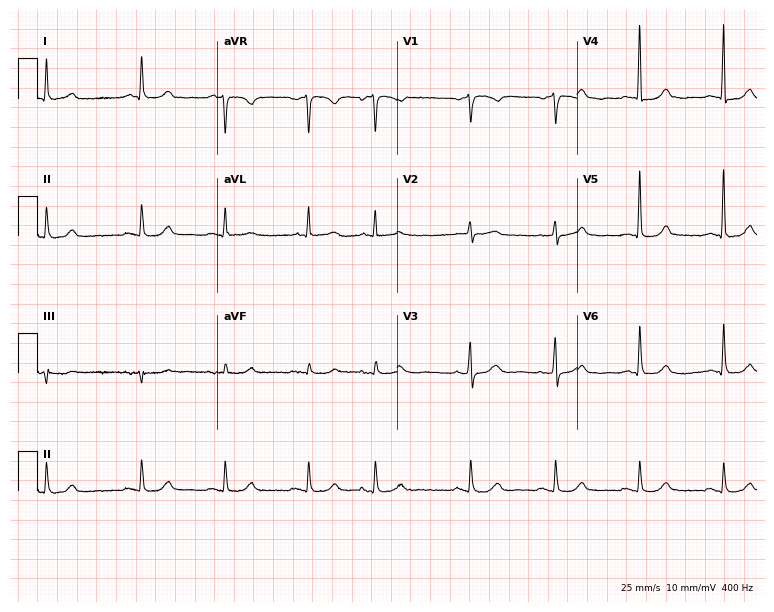
12-lead ECG (7.3-second recording at 400 Hz) from a woman, 67 years old. Screened for six findings — first-degree AV block, right bundle branch block, left bundle branch block, sinus bradycardia, atrial fibrillation, sinus tachycardia — none is recorded. Only these six findings were labelled.